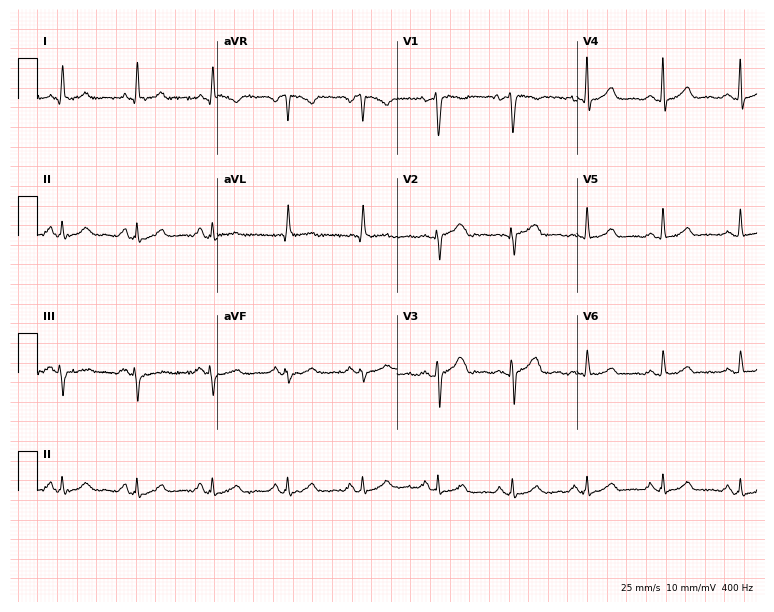
Standard 12-lead ECG recorded from a female, 37 years old (7.3-second recording at 400 Hz). None of these six findings is recorded: first-degree AV block, right bundle branch block (RBBB), left bundle branch block (LBBB), sinus bradycardia, atrial fibrillation (AF), sinus tachycardia.